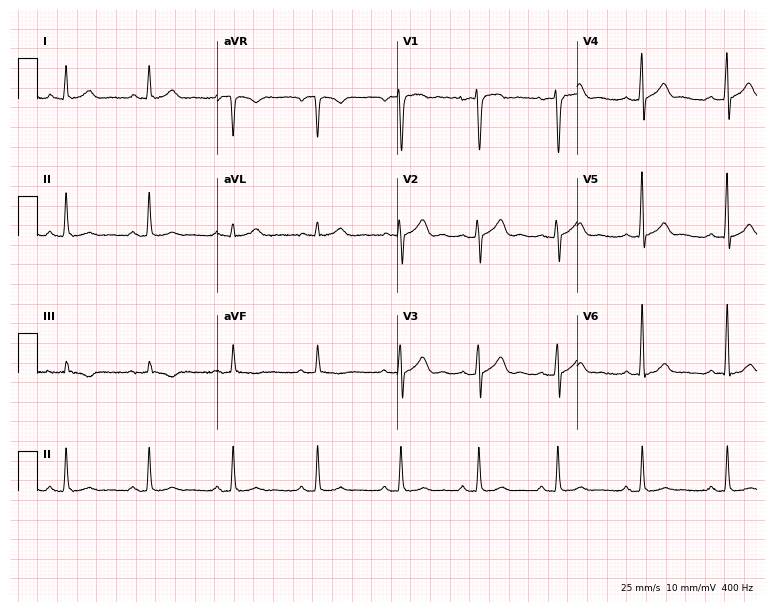
12-lead ECG from a 39-year-old male patient. Labelled as a normal ECG.